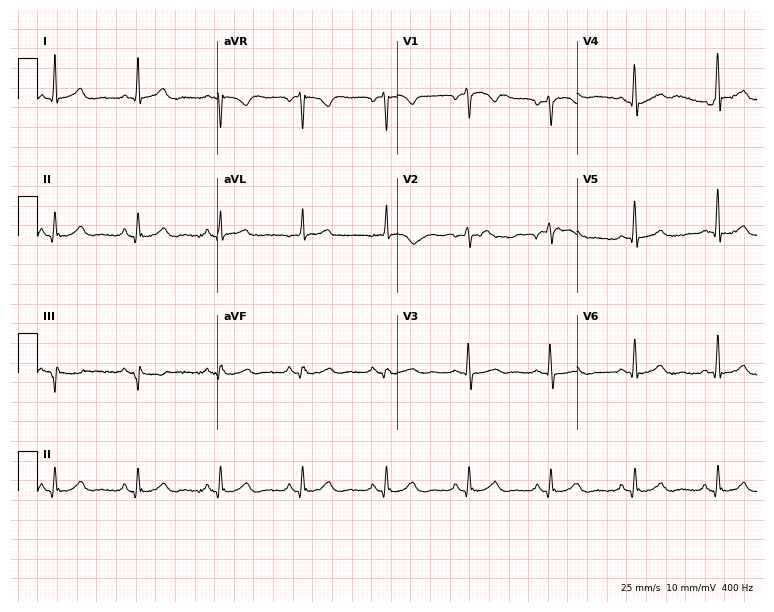
Resting 12-lead electrocardiogram. Patient: a 47-year-old woman. Read as a normal ECG.